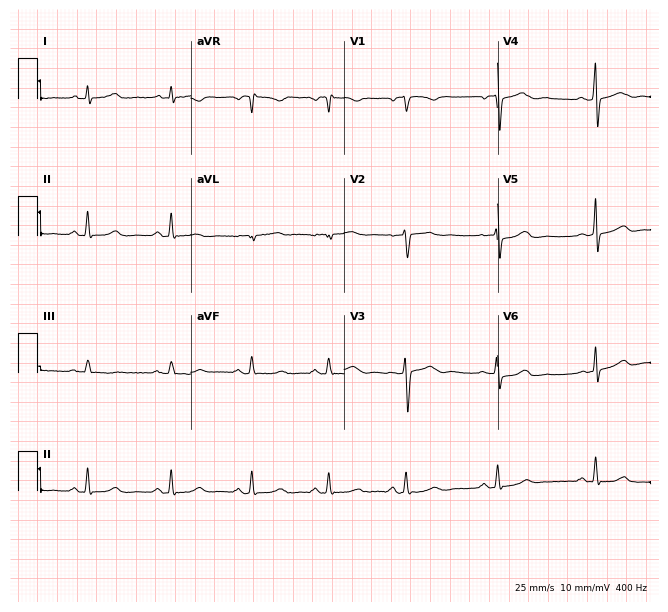
ECG (6.3-second recording at 400 Hz) — a 30-year-old woman. Screened for six findings — first-degree AV block, right bundle branch block, left bundle branch block, sinus bradycardia, atrial fibrillation, sinus tachycardia — none is recorded.